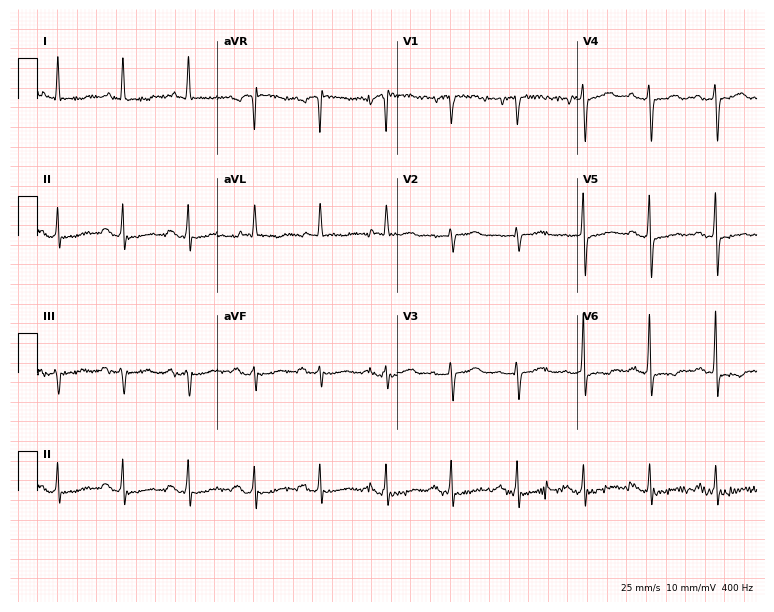
Electrocardiogram, an 81-year-old woman. Of the six screened findings (first-degree AV block, right bundle branch block (RBBB), left bundle branch block (LBBB), sinus bradycardia, atrial fibrillation (AF), sinus tachycardia), none is recorded.